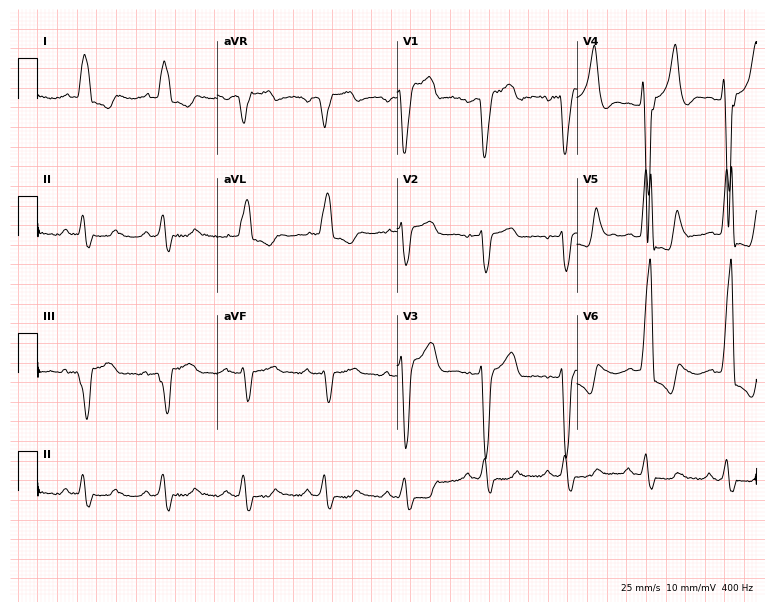
12-lead ECG (7.3-second recording at 400 Hz) from a 77-year-old male patient. Findings include left bundle branch block.